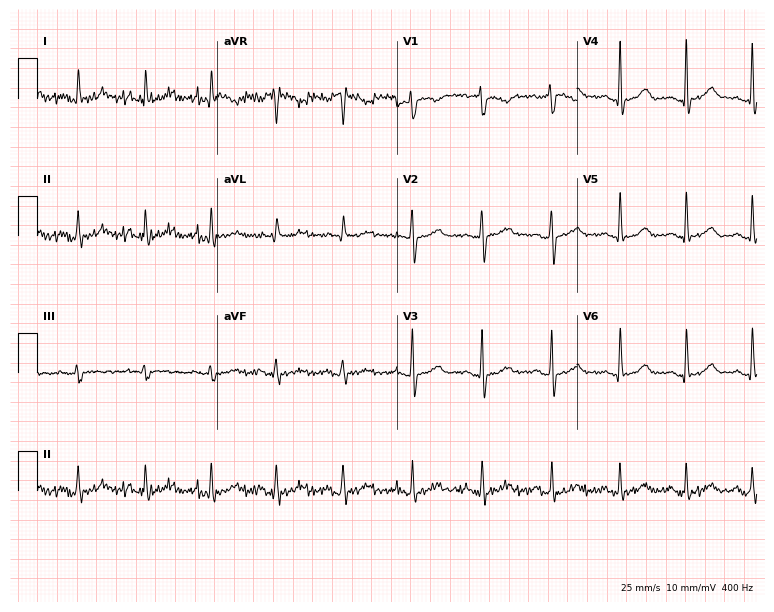
ECG (7.3-second recording at 400 Hz) — a 35-year-old female. Labelled as a normal ECG.